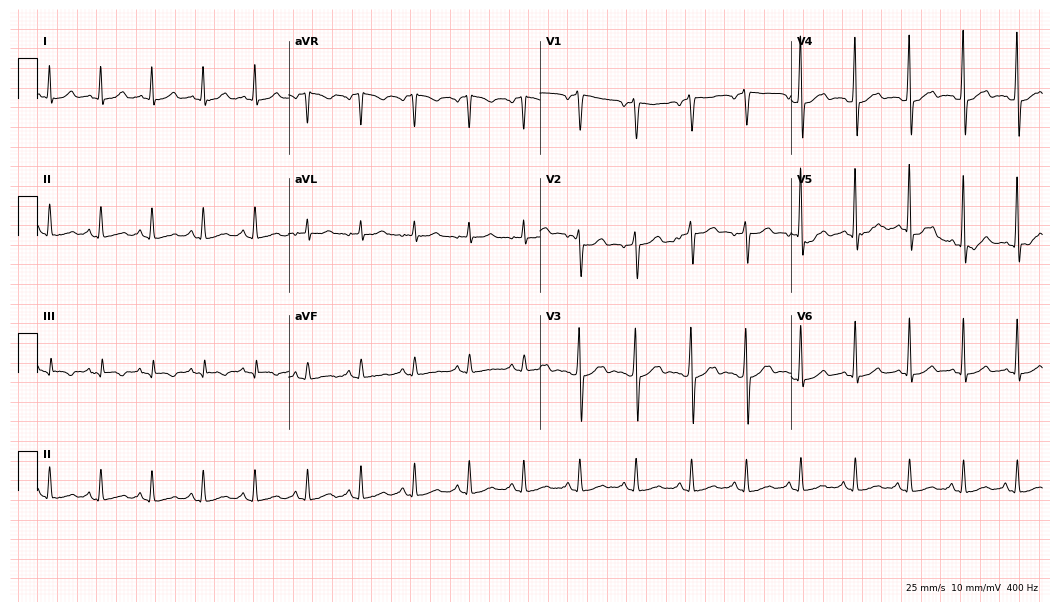
12-lead ECG from a 48-year-old woman. Shows sinus tachycardia (a sinus rate of 100 beats per minute or more).